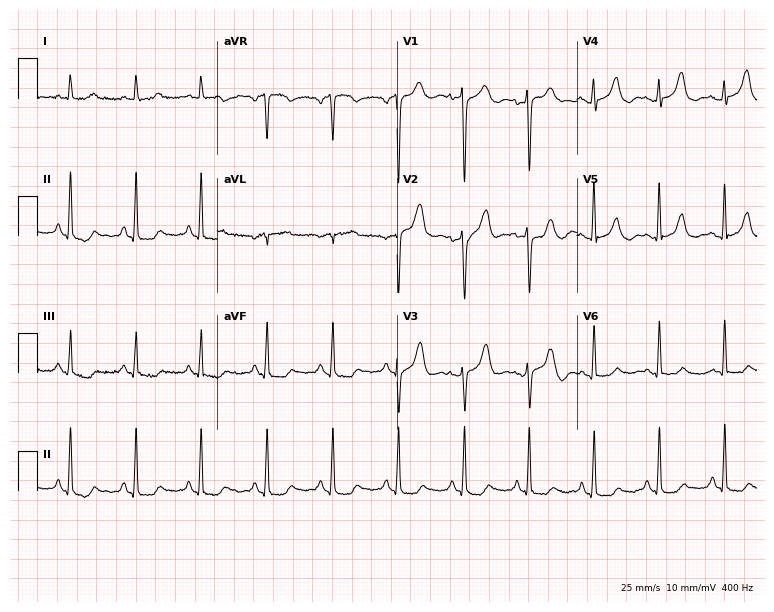
12-lead ECG from a female, 68 years old. Labelled as a normal ECG.